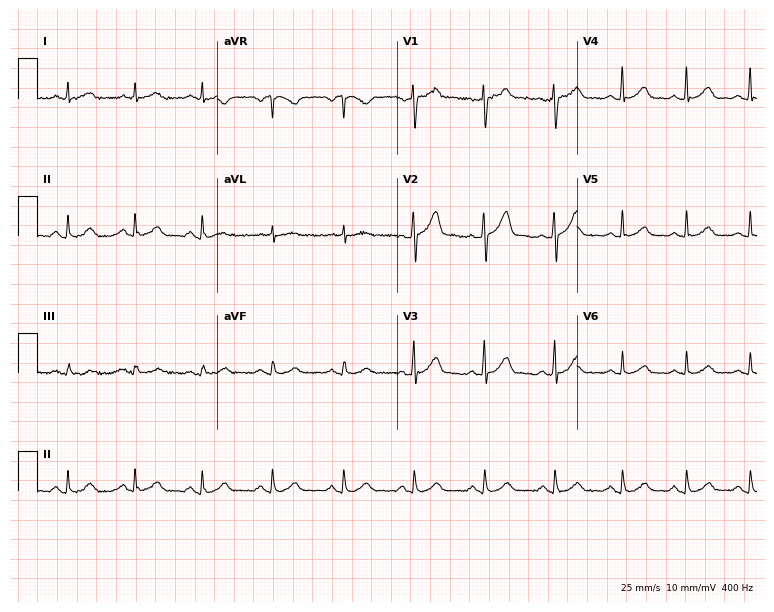
ECG (7.3-second recording at 400 Hz) — a 46-year-old male. Screened for six findings — first-degree AV block, right bundle branch block, left bundle branch block, sinus bradycardia, atrial fibrillation, sinus tachycardia — none is recorded. Other findings, if any, are not listed.